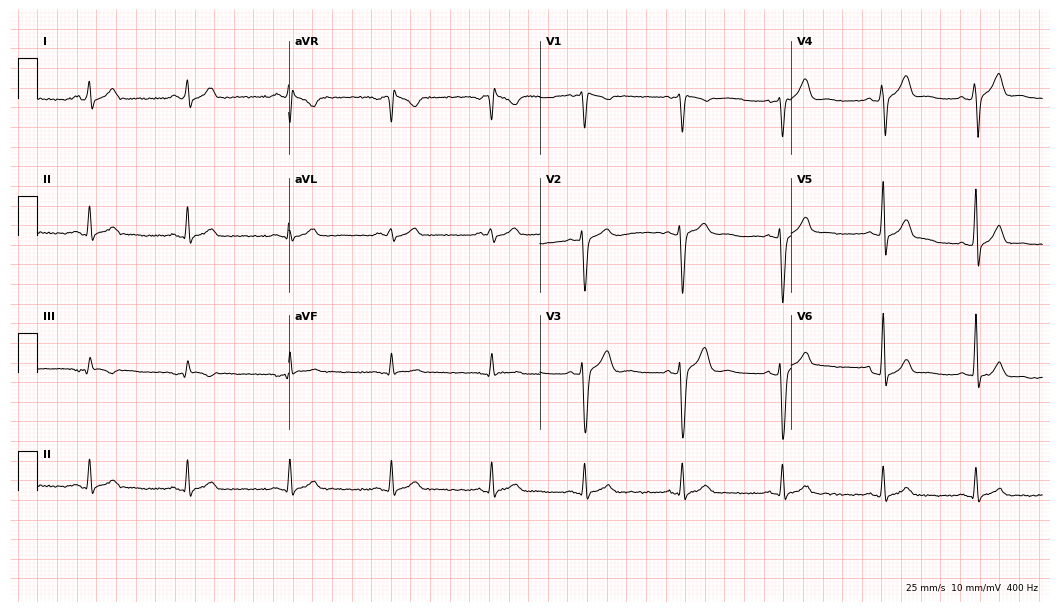
12-lead ECG from a male patient, 32 years old. No first-degree AV block, right bundle branch block, left bundle branch block, sinus bradycardia, atrial fibrillation or sinus tachycardia recorded for this tracing.